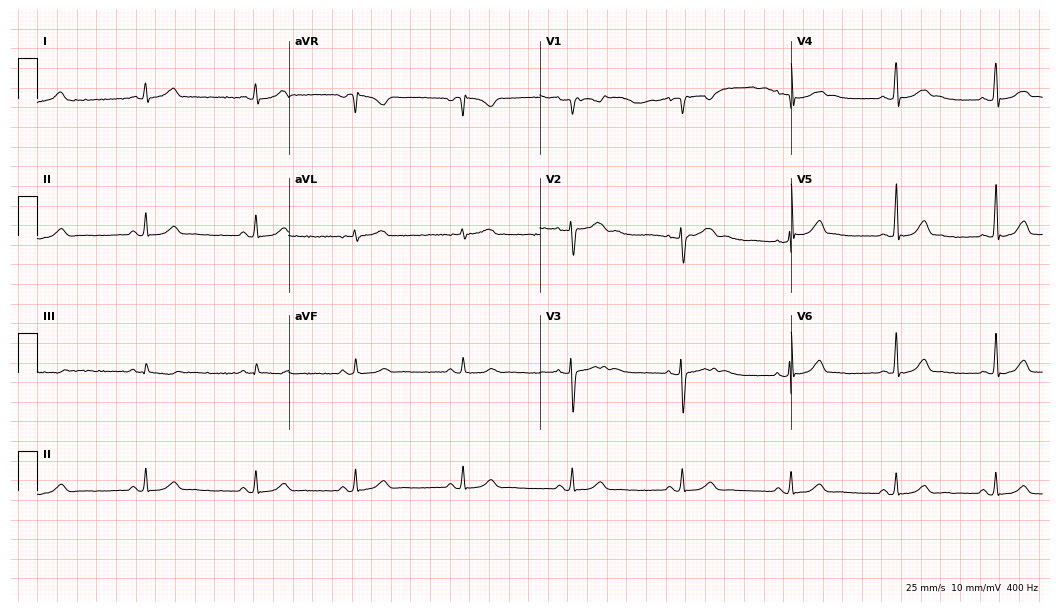
12-lead ECG from a 24-year-old woman (10.2-second recording at 400 Hz). Recorded interpretation: within normal limits.